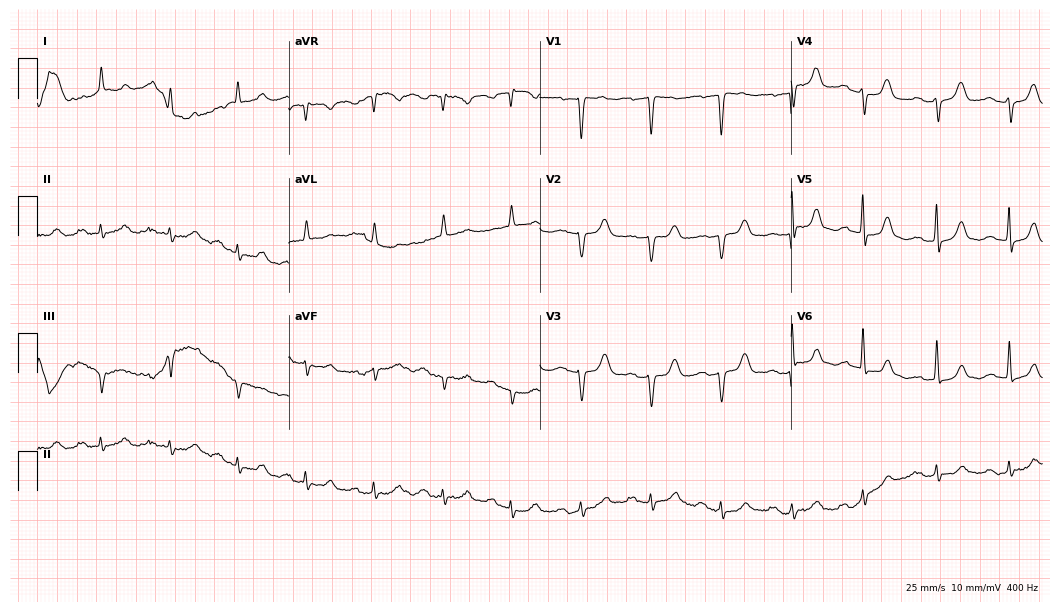
12-lead ECG from a woman, 83 years old. Findings include first-degree AV block.